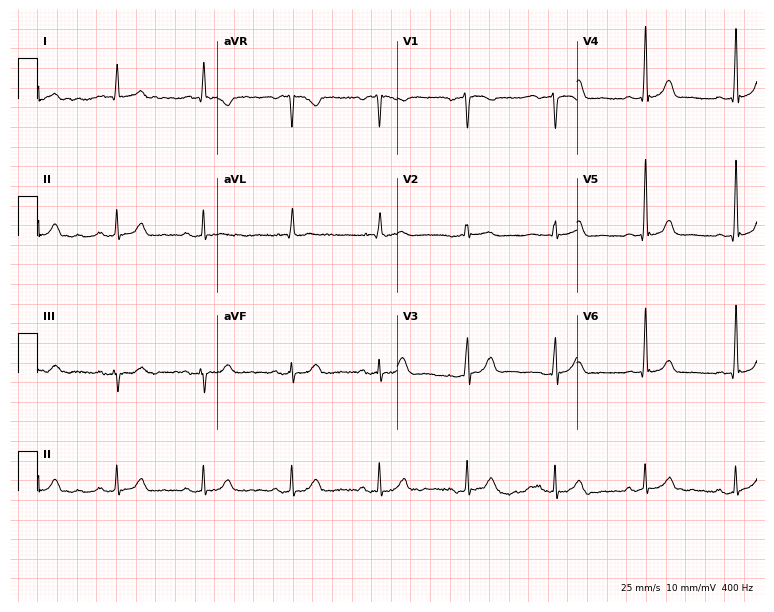
Resting 12-lead electrocardiogram. Patient: a male, 67 years old. Read as a normal ECG.